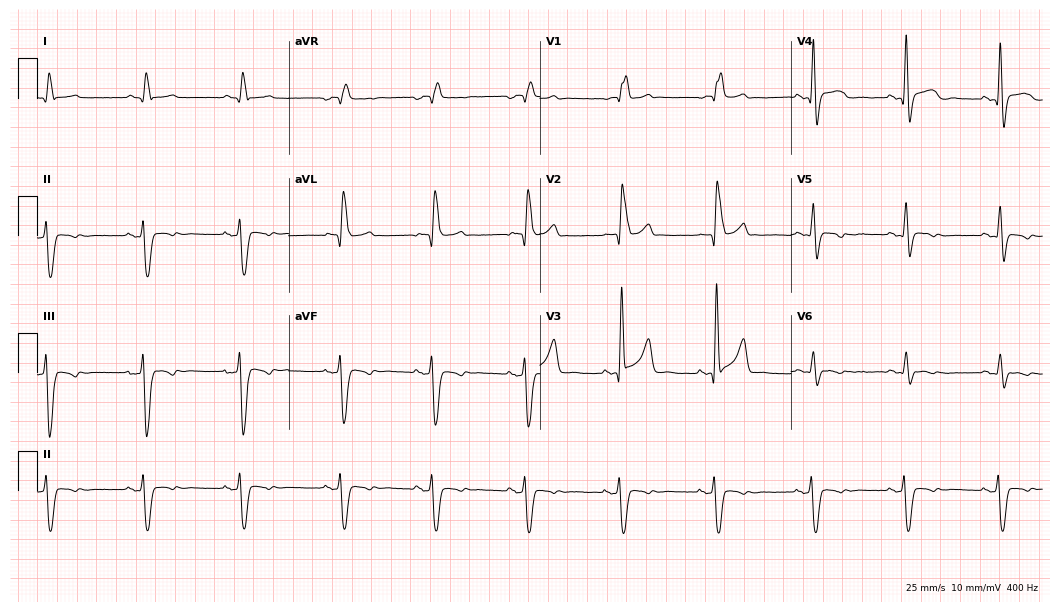
Electrocardiogram, a man, 75 years old. Interpretation includes right bundle branch block.